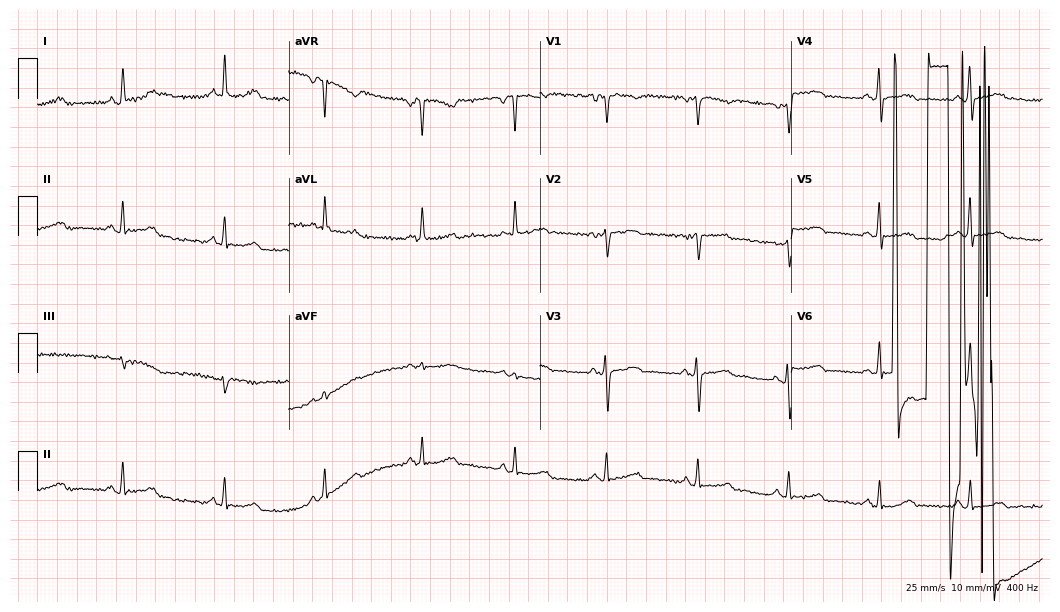
Resting 12-lead electrocardiogram. Patient: a 43-year-old female. Read as a normal ECG.